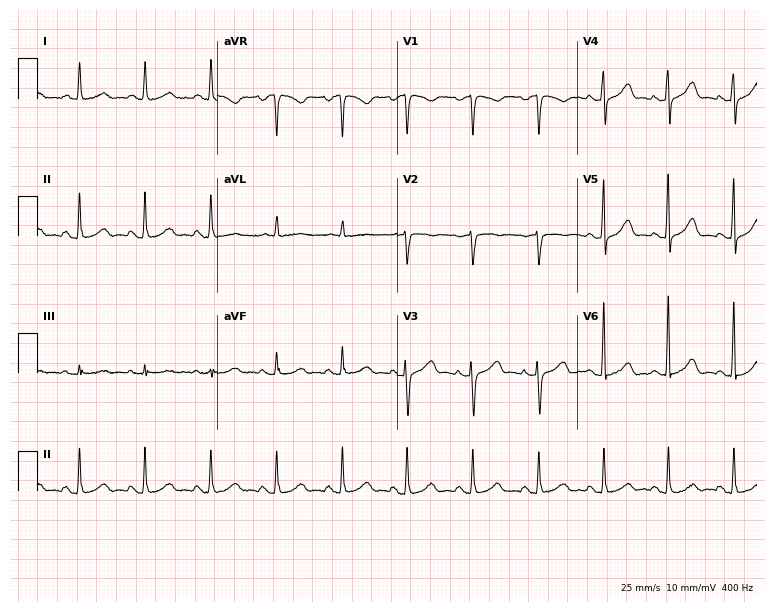
Electrocardiogram, a female patient, 64 years old. Overall reading on record: normal ECG.